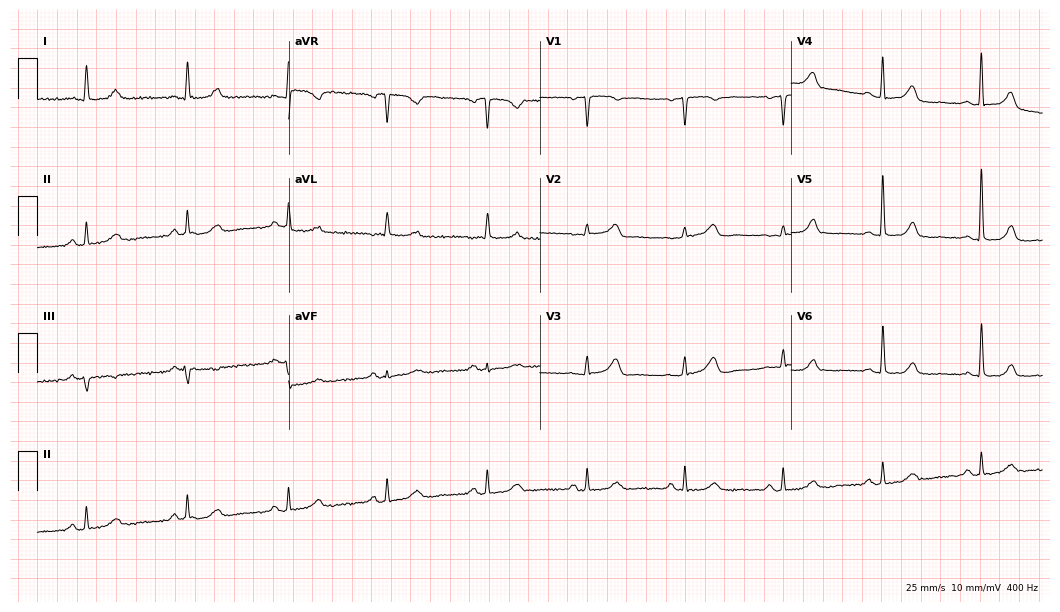
Resting 12-lead electrocardiogram (10.2-second recording at 400 Hz). Patient: a woman, 60 years old. Read as a normal ECG.